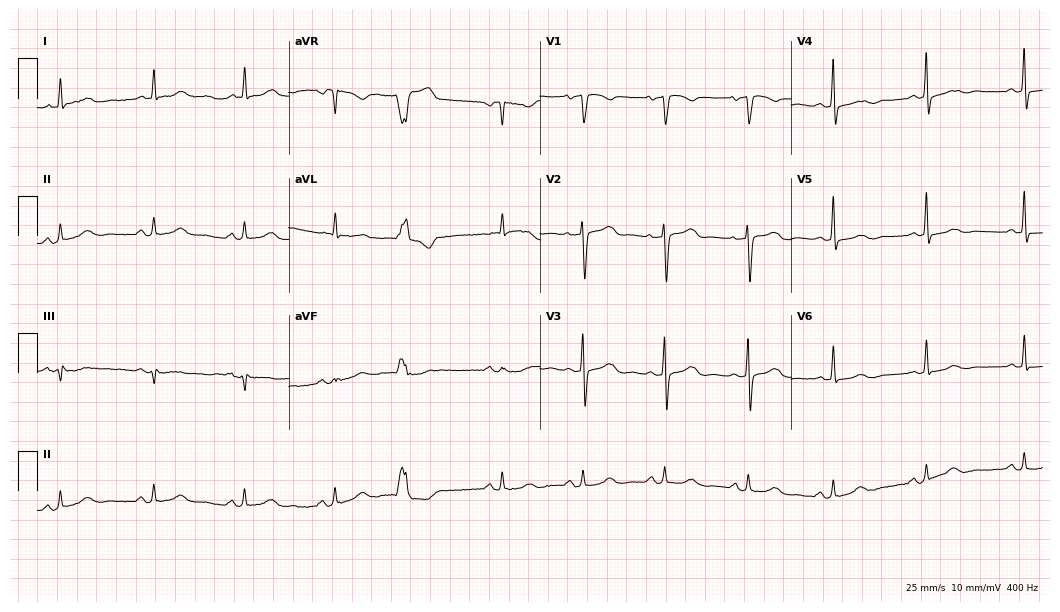
12-lead ECG from a 64-year-old woman (10.2-second recording at 400 Hz). No first-degree AV block, right bundle branch block, left bundle branch block, sinus bradycardia, atrial fibrillation or sinus tachycardia recorded for this tracing. Findings outside these six are not listed.